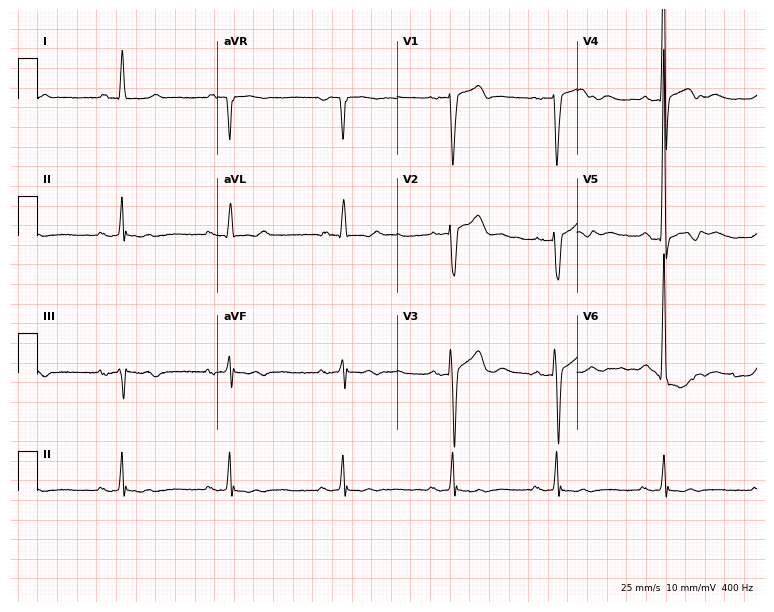
Standard 12-lead ECG recorded from a 49-year-old male (7.3-second recording at 400 Hz). The tracing shows first-degree AV block.